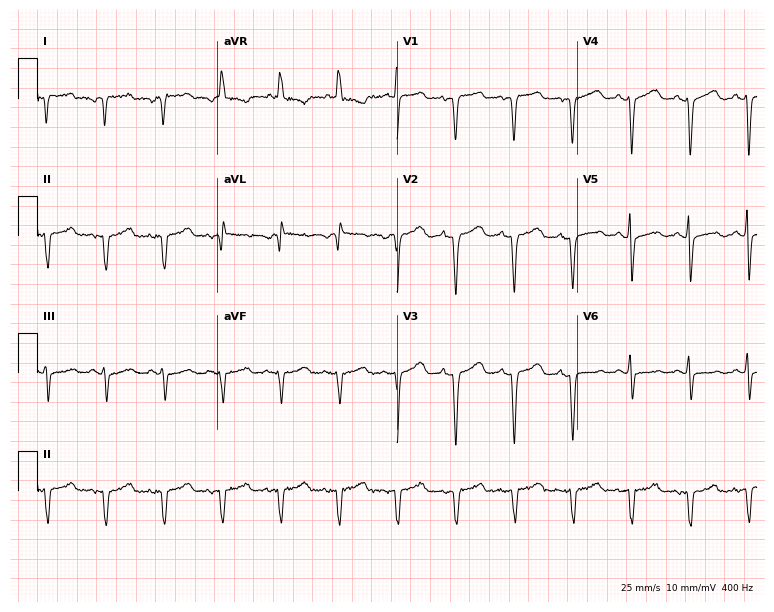
Electrocardiogram, a woman, 78 years old. Of the six screened findings (first-degree AV block, right bundle branch block (RBBB), left bundle branch block (LBBB), sinus bradycardia, atrial fibrillation (AF), sinus tachycardia), none is recorded.